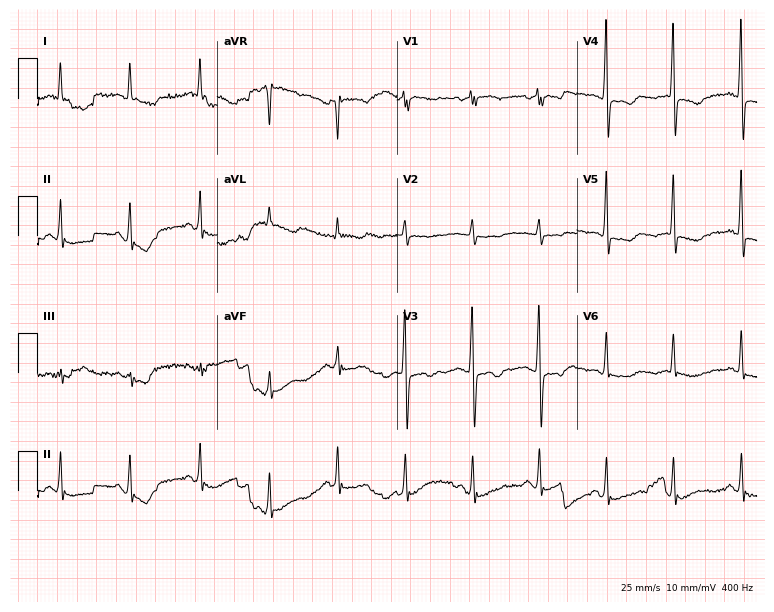
ECG (7.3-second recording at 400 Hz) — a 74-year-old female. Screened for six findings — first-degree AV block, right bundle branch block (RBBB), left bundle branch block (LBBB), sinus bradycardia, atrial fibrillation (AF), sinus tachycardia — none is recorded.